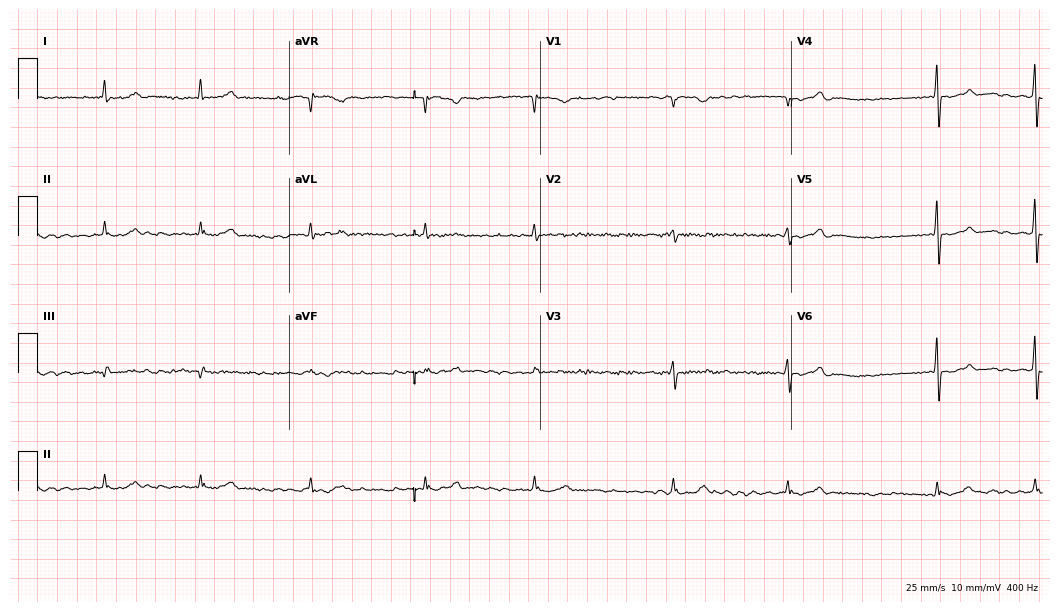
12-lead ECG from a woman, 80 years old. Shows atrial fibrillation (AF).